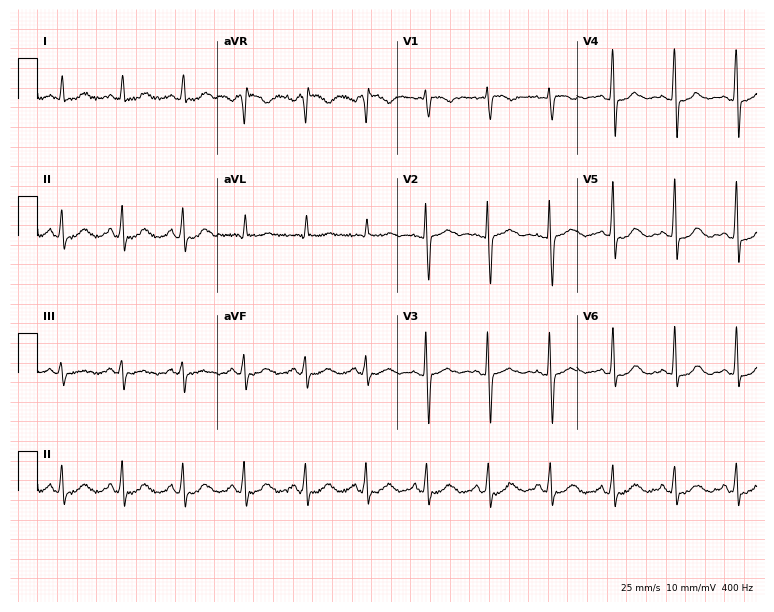
Standard 12-lead ECG recorded from a 53-year-old woman (7.3-second recording at 400 Hz). Read as a normal ECG.